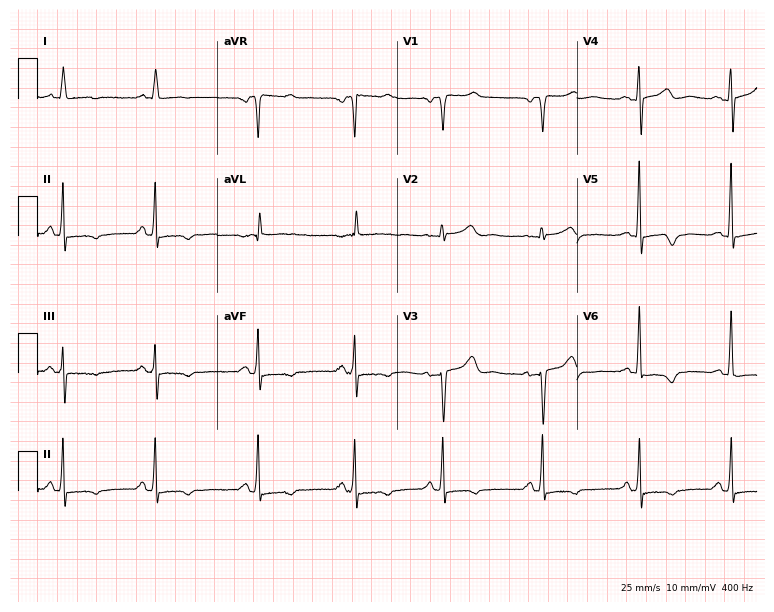
Electrocardiogram, a woman, 80 years old. Of the six screened findings (first-degree AV block, right bundle branch block, left bundle branch block, sinus bradycardia, atrial fibrillation, sinus tachycardia), none is recorded. Other findings, if any, are not listed.